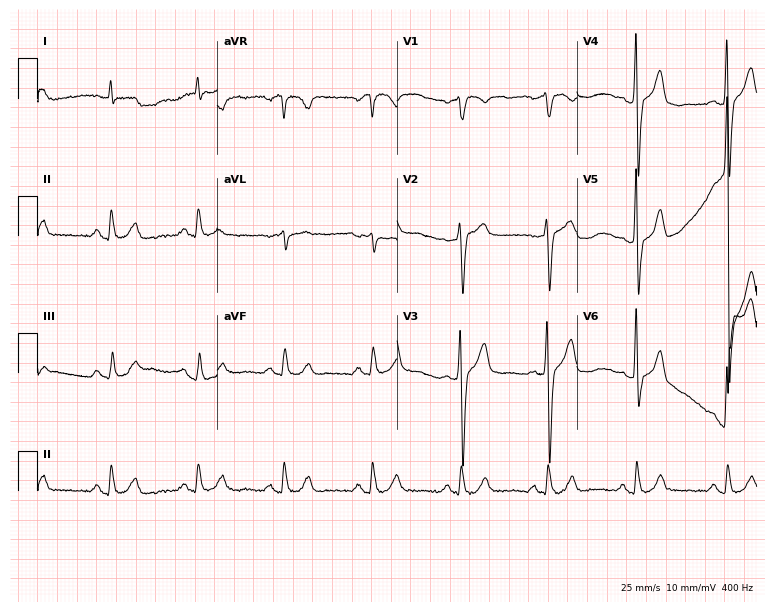
12-lead ECG from a 67-year-old male patient (7.3-second recording at 400 Hz). No first-degree AV block, right bundle branch block (RBBB), left bundle branch block (LBBB), sinus bradycardia, atrial fibrillation (AF) or sinus tachycardia recorded for this tracing. Only these six findings were labelled.